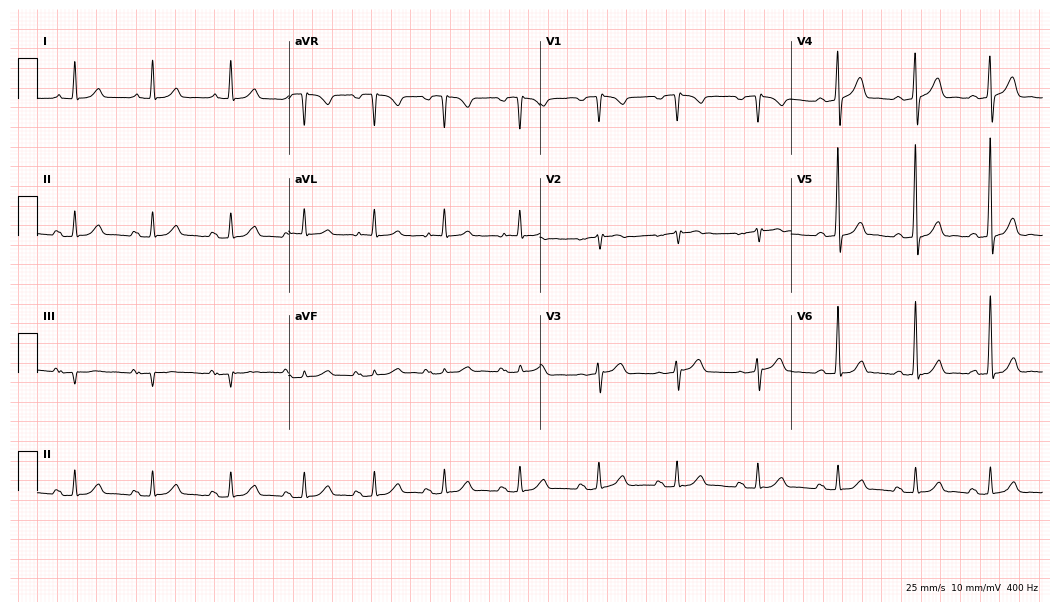
ECG (10.2-second recording at 400 Hz) — a 39-year-old male patient. Labelled as a normal ECG.